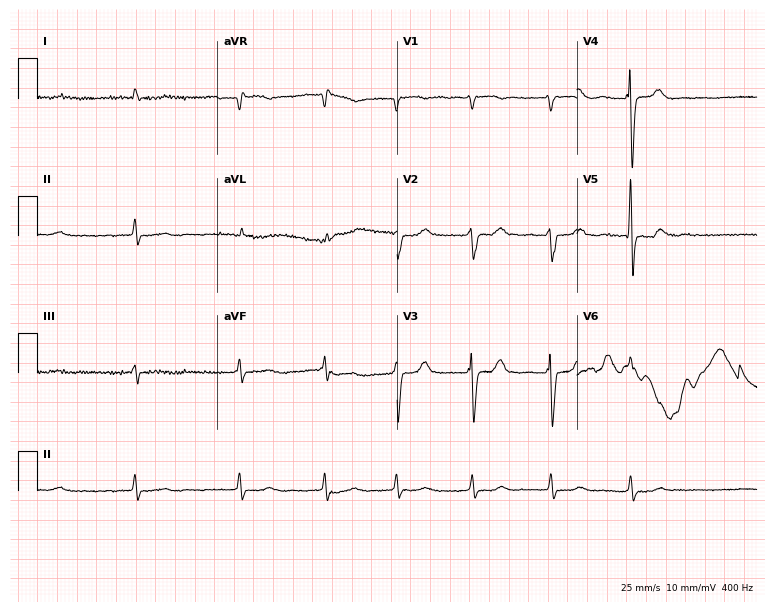
Standard 12-lead ECG recorded from a male patient, 81 years old. None of these six findings is recorded: first-degree AV block, right bundle branch block (RBBB), left bundle branch block (LBBB), sinus bradycardia, atrial fibrillation (AF), sinus tachycardia. Findings outside these six are not listed.